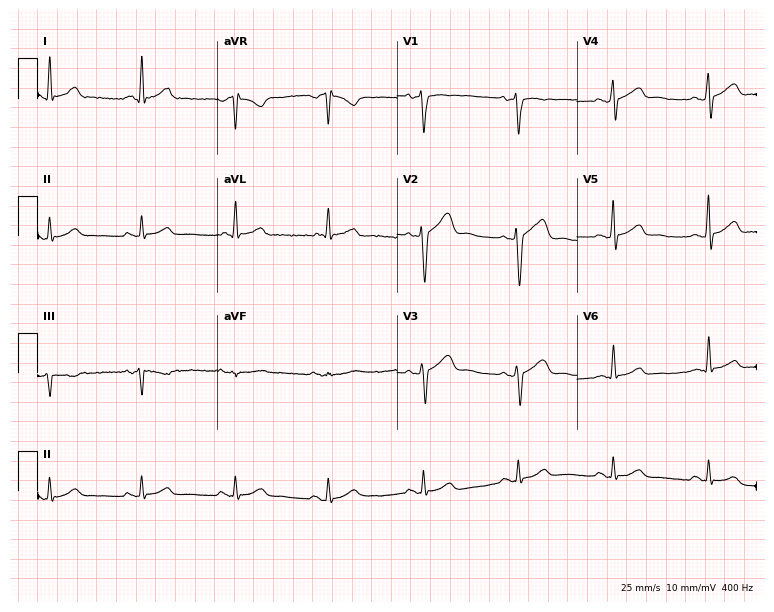
ECG — a male, 48 years old. Screened for six findings — first-degree AV block, right bundle branch block, left bundle branch block, sinus bradycardia, atrial fibrillation, sinus tachycardia — none is recorded. Other findings, if any, are not listed.